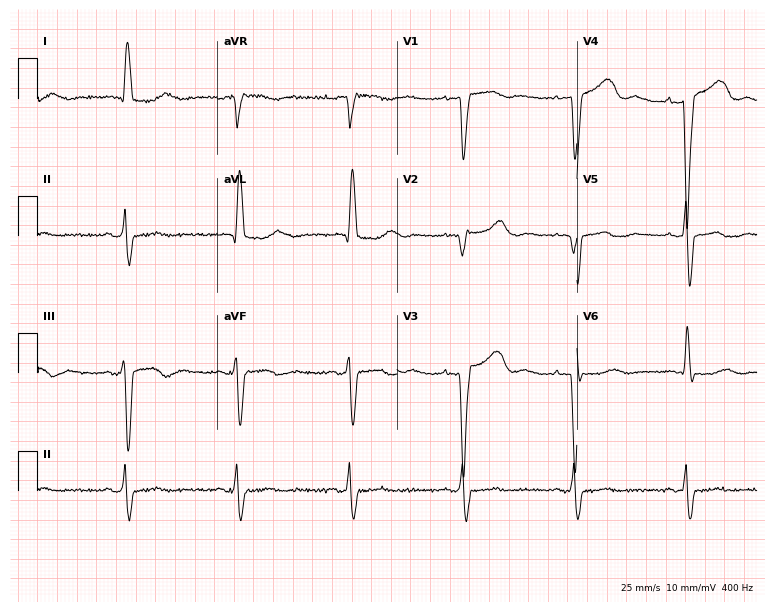
Resting 12-lead electrocardiogram. Patient: a woman, 83 years old. None of these six findings is recorded: first-degree AV block, right bundle branch block (RBBB), left bundle branch block (LBBB), sinus bradycardia, atrial fibrillation (AF), sinus tachycardia. Only these six findings were labelled.